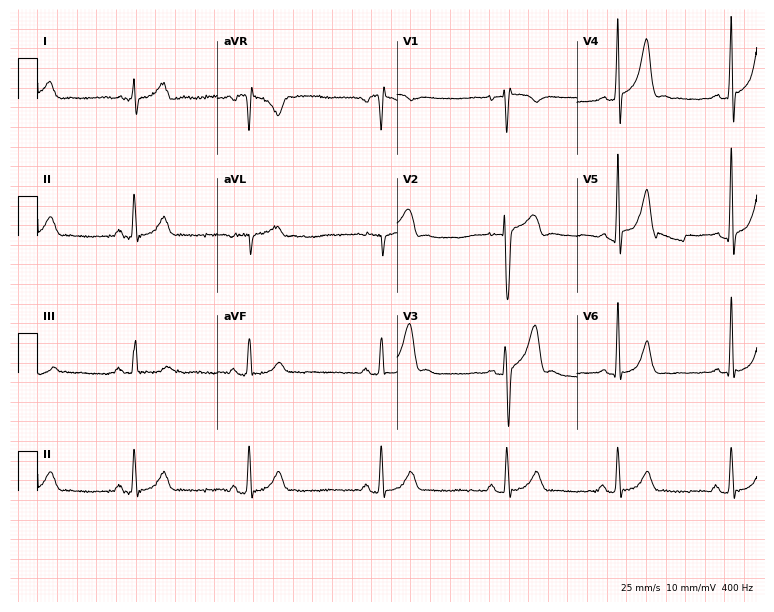
Resting 12-lead electrocardiogram (7.3-second recording at 400 Hz). Patient: a 30-year-old male. The tracing shows sinus bradycardia (a sinus rate of 50 beats per minute or less).